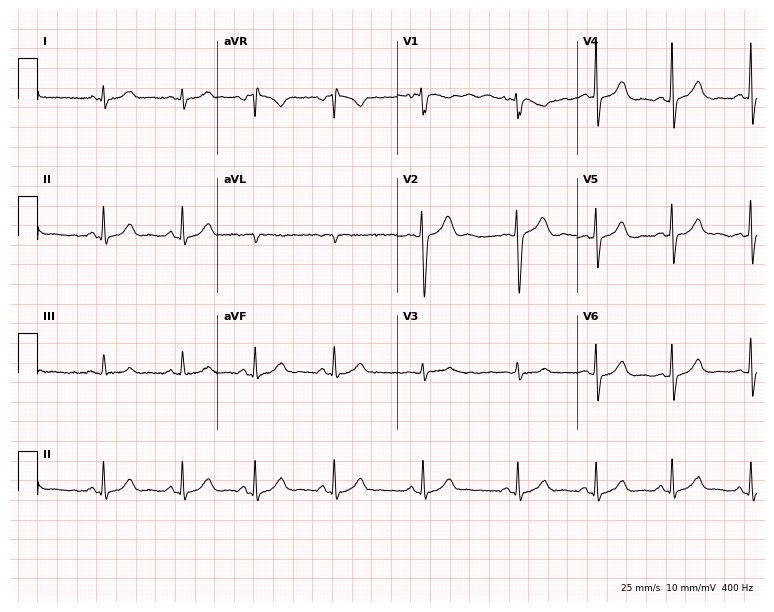
12-lead ECG (7.3-second recording at 400 Hz) from a 32-year-old woman. Labelled as a normal ECG.